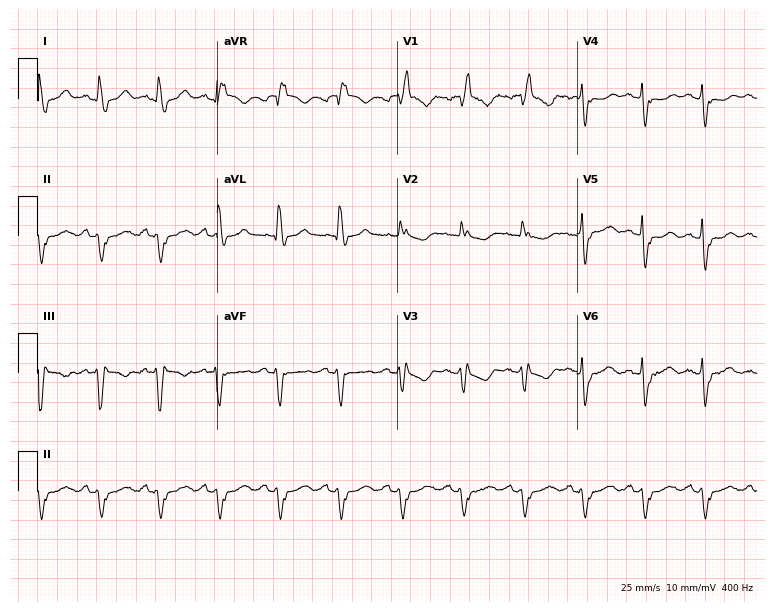
Electrocardiogram, a woman, 73 years old. Interpretation includes right bundle branch block.